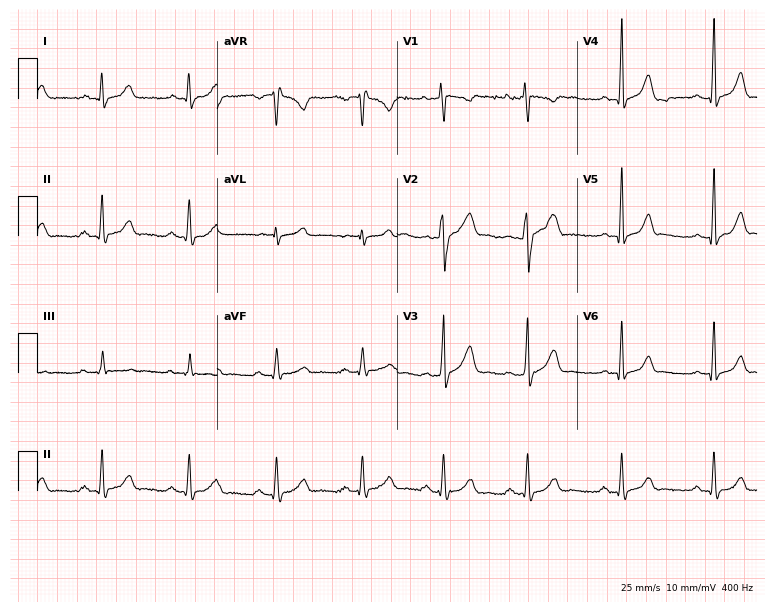
ECG (7.3-second recording at 400 Hz) — a 29-year-old male patient. Labelled as a normal ECG.